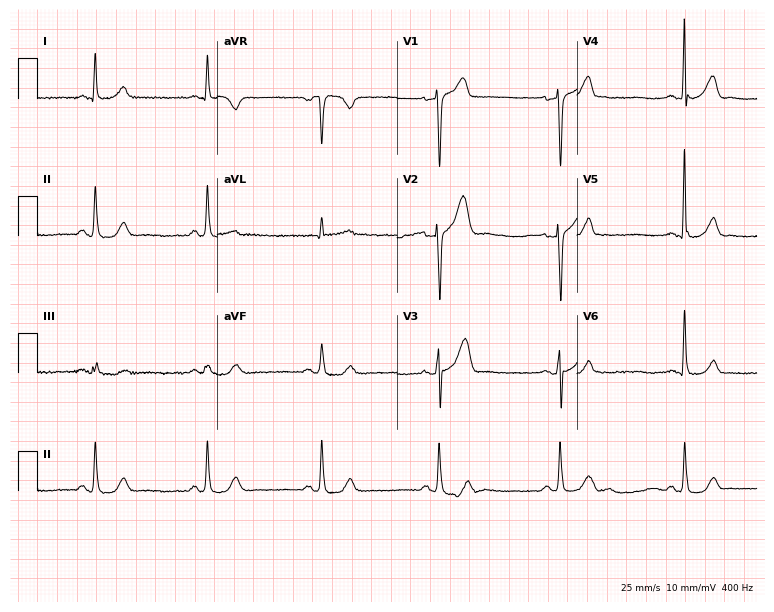
Electrocardiogram, a man, 66 years old. Of the six screened findings (first-degree AV block, right bundle branch block, left bundle branch block, sinus bradycardia, atrial fibrillation, sinus tachycardia), none is recorded. Only these six findings were labelled.